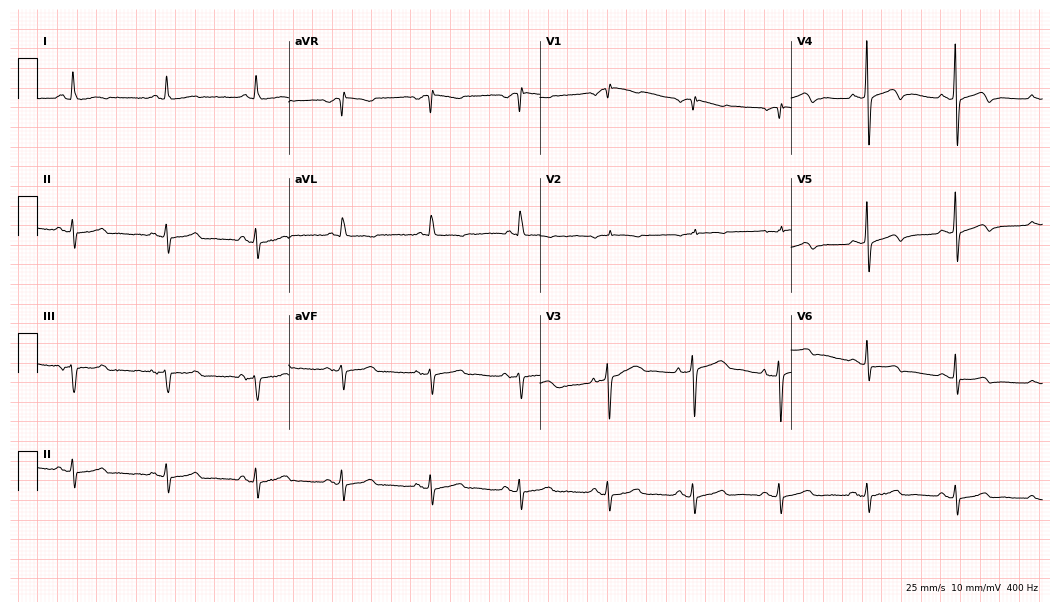
Standard 12-lead ECG recorded from a female, 80 years old (10.2-second recording at 400 Hz). None of these six findings is recorded: first-degree AV block, right bundle branch block, left bundle branch block, sinus bradycardia, atrial fibrillation, sinus tachycardia.